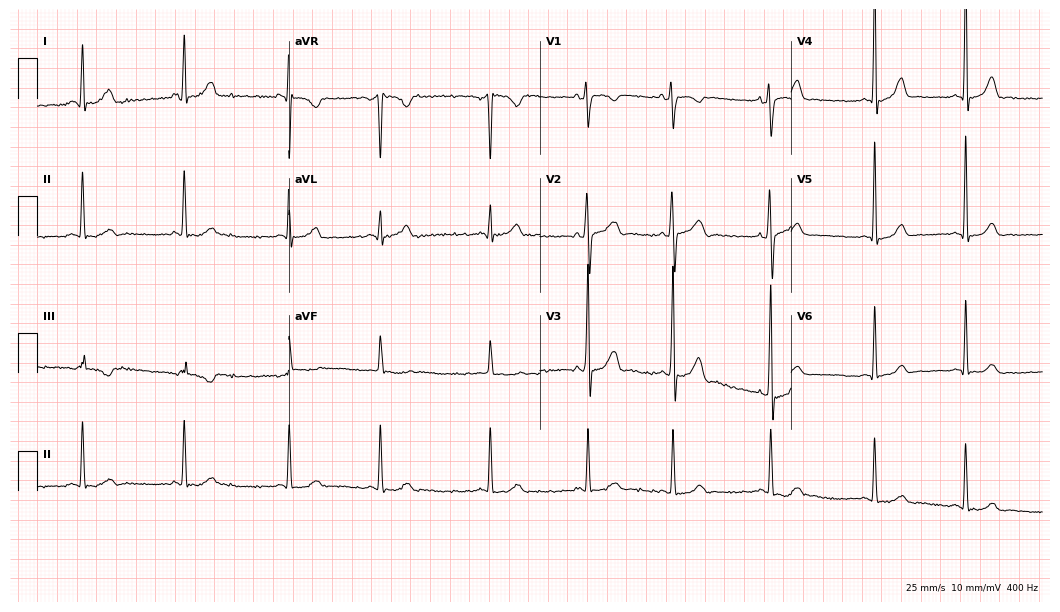
Standard 12-lead ECG recorded from a 24-year-old female patient. None of these six findings is recorded: first-degree AV block, right bundle branch block, left bundle branch block, sinus bradycardia, atrial fibrillation, sinus tachycardia.